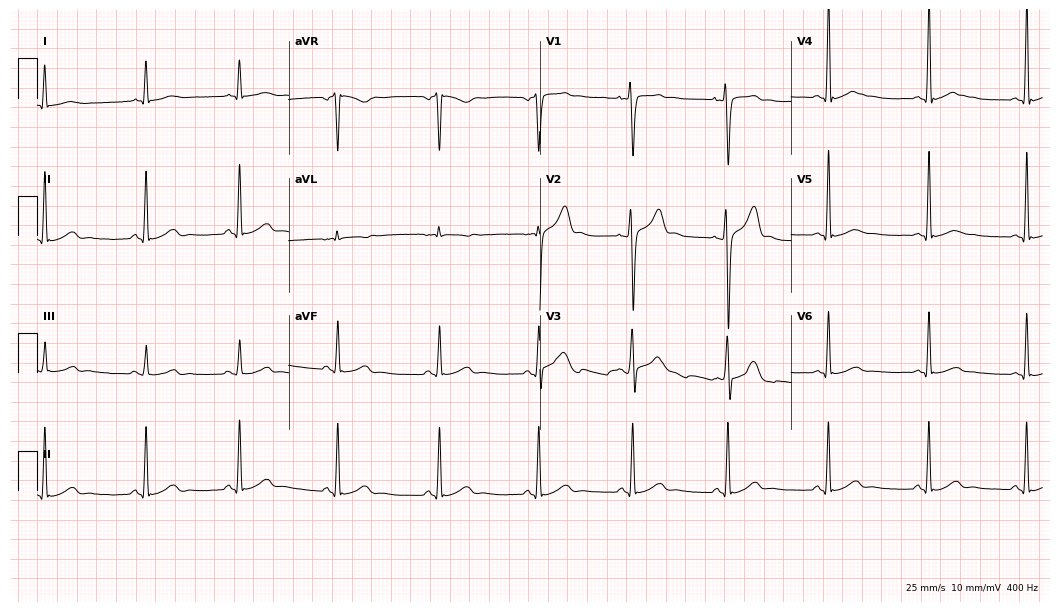
Electrocardiogram, a male patient, 28 years old. Of the six screened findings (first-degree AV block, right bundle branch block, left bundle branch block, sinus bradycardia, atrial fibrillation, sinus tachycardia), none is recorded. Other findings, if any, are not listed.